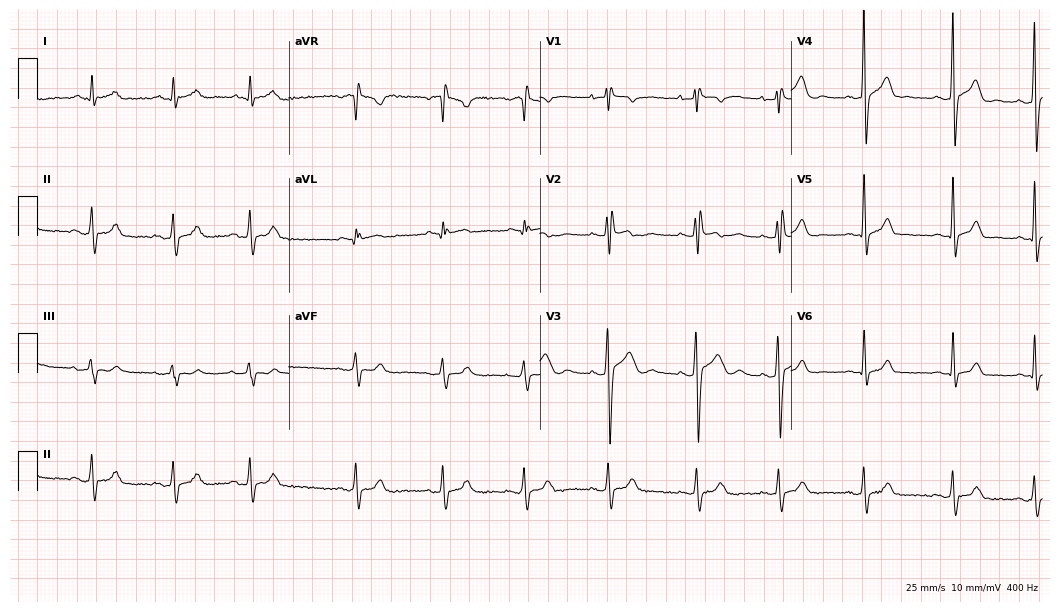
12-lead ECG from a male patient, 24 years old. Labelled as a normal ECG.